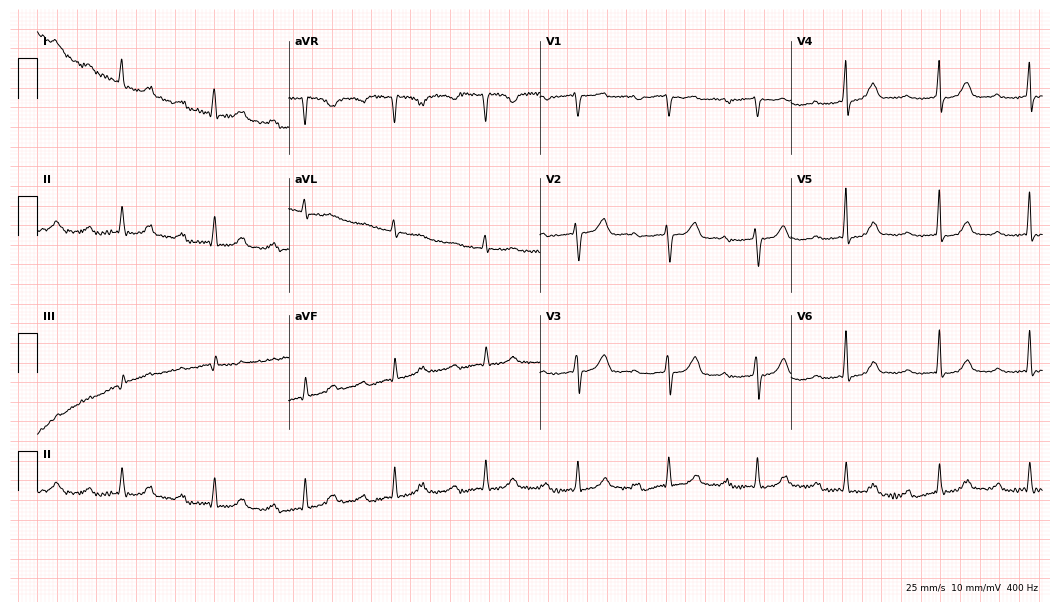
Resting 12-lead electrocardiogram. Patient: a 63-year-old female. The tracing shows first-degree AV block.